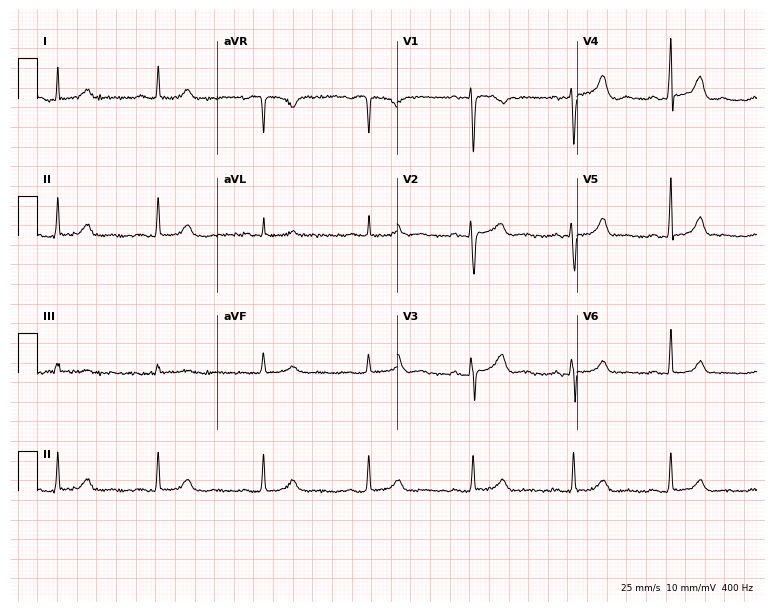
ECG (7.3-second recording at 400 Hz) — a 53-year-old woman. Screened for six findings — first-degree AV block, right bundle branch block, left bundle branch block, sinus bradycardia, atrial fibrillation, sinus tachycardia — none is recorded. Other findings, if any, are not listed.